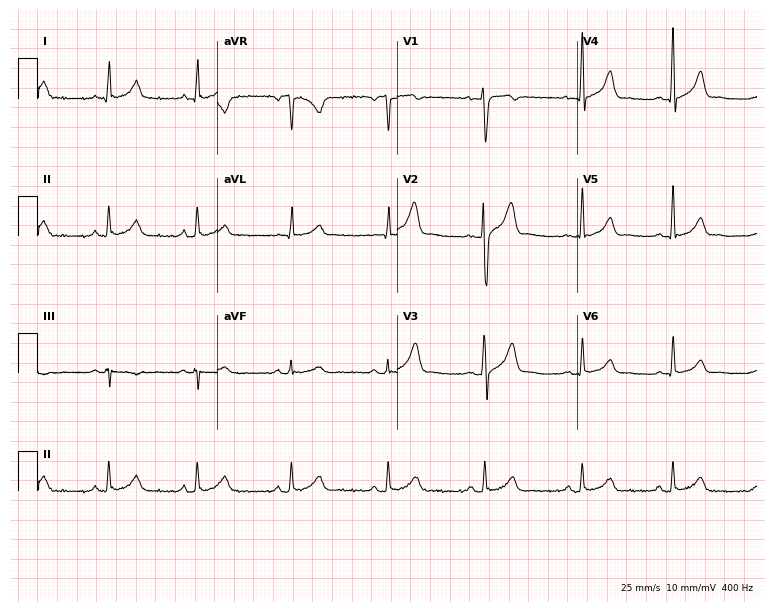
ECG (7.3-second recording at 400 Hz) — a 43-year-old man. Labelled as a normal ECG.